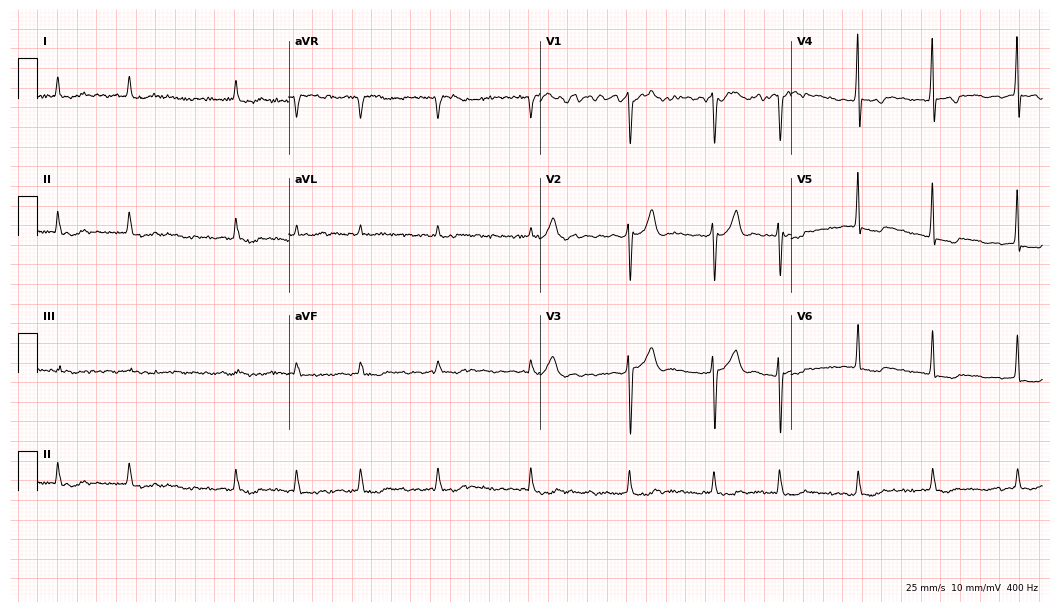
Standard 12-lead ECG recorded from an 83-year-old female (10.2-second recording at 400 Hz). The tracing shows atrial fibrillation (AF).